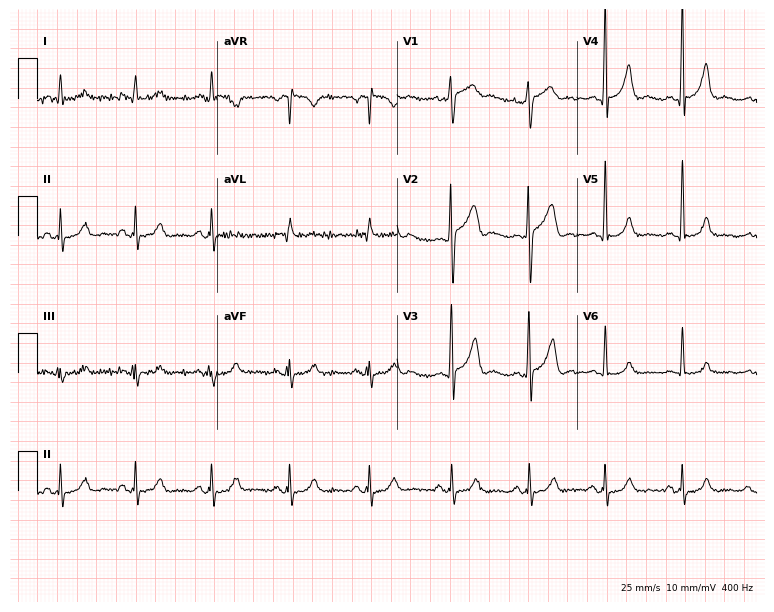
Resting 12-lead electrocardiogram (7.3-second recording at 400 Hz). Patient: a 46-year-old male. None of these six findings is recorded: first-degree AV block, right bundle branch block (RBBB), left bundle branch block (LBBB), sinus bradycardia, atrial fibrillation (AF), sinus tachycardia. Other findings, if any, are not listed.